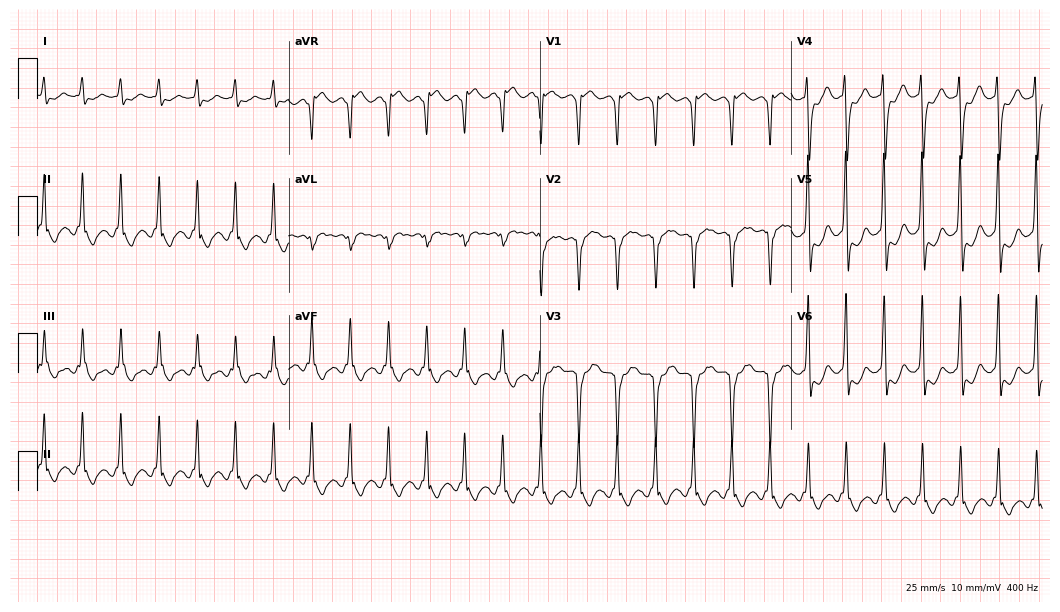
Resting 12-lead electrocardiogram. Patient: a male, 55 years old. The tracing shows sinus tachycardia (a sinus rate of 100 beats per minute or more).